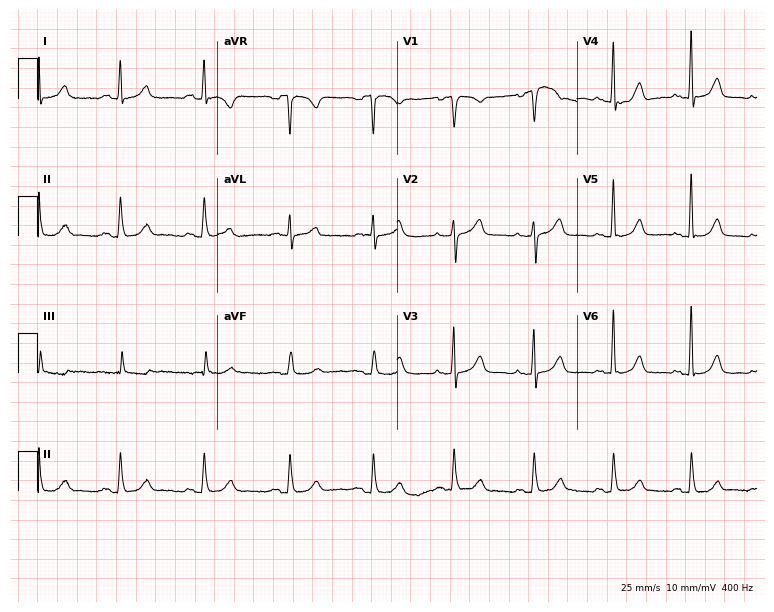
Electrocardiogram (7.3-second recording at 400 Hz), a female, 58 years old. Overall reading on record: normal ECG.